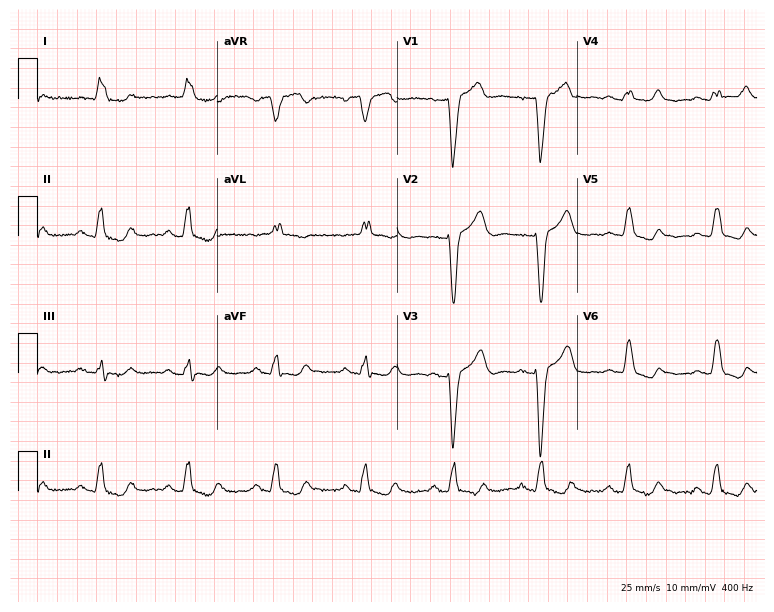
Resting 12-lead electrocardiogram. Patient: a female, 72 years old. The tracing shows left bundle branch block (LBBB).